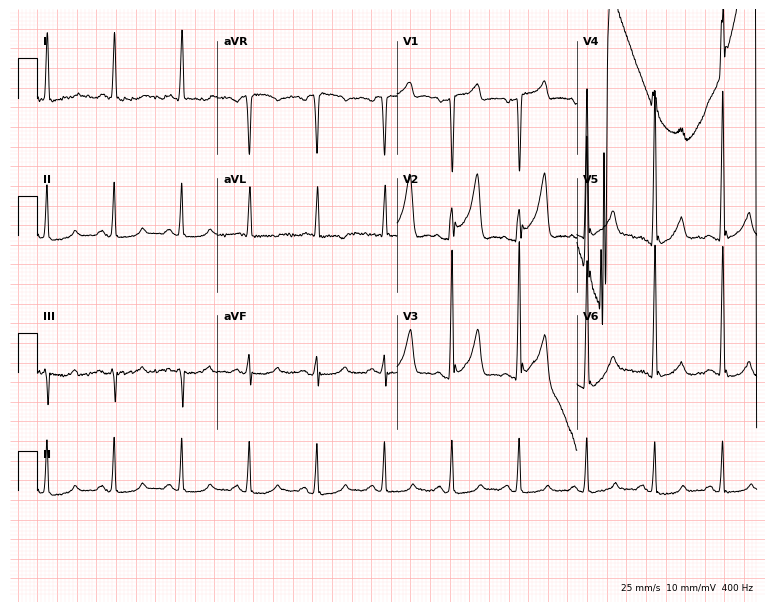
Electrocardiogram, a man, 70 years old. Of the six screened findings (first-degree AV block, right bundle branch block (RBBB), left bundle branch block (LBBB), sinus bradycardia, atrial fibrillation (AF), sinus tachycardia), none is recorded. Findings outside these six are not listed.